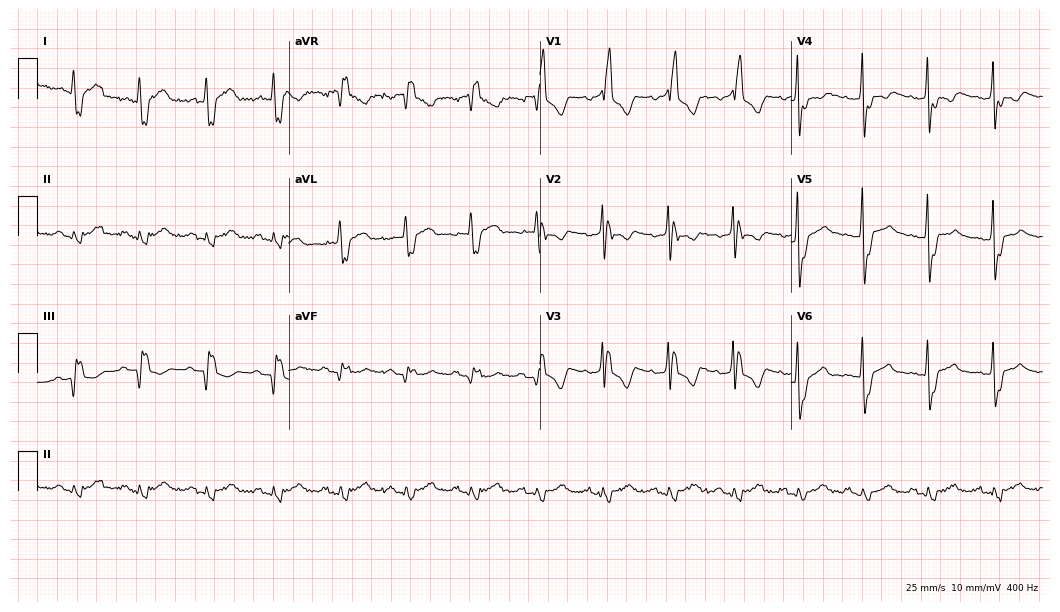
Resting 12-lead electrocardiogram (10.2-second recording at 400 Hz). Patient: a man, 65 years old. The tracing shows right bundle branch block.